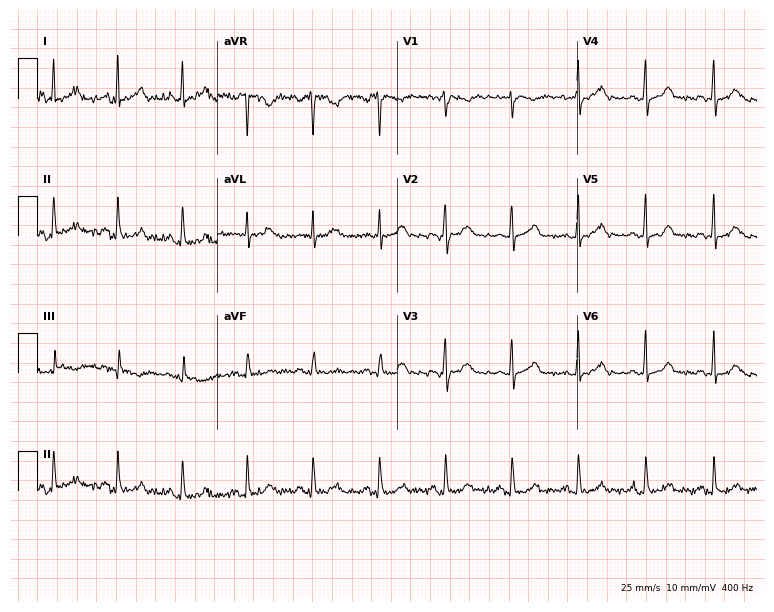
Resting 12-lead electrocardiogram. Patient: a female, 32 years old. Read as a normal ECG.